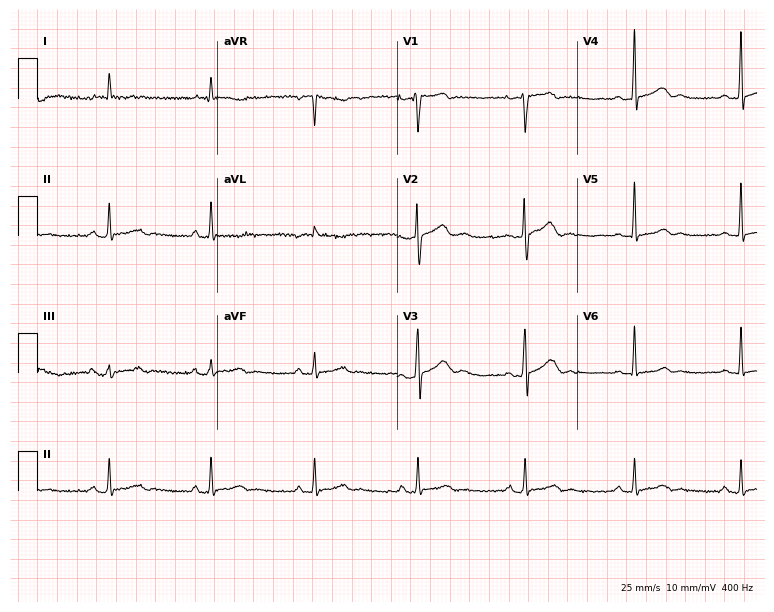
12-lead ECG from a man, 72 years old. Screened for six findings — first-degree AV block, right bundle branch block, left bundle branch block, sinus bradycardia, atrial fibrillation, sinus tachycardia — none is recorded. Findings outside these six are not listed.